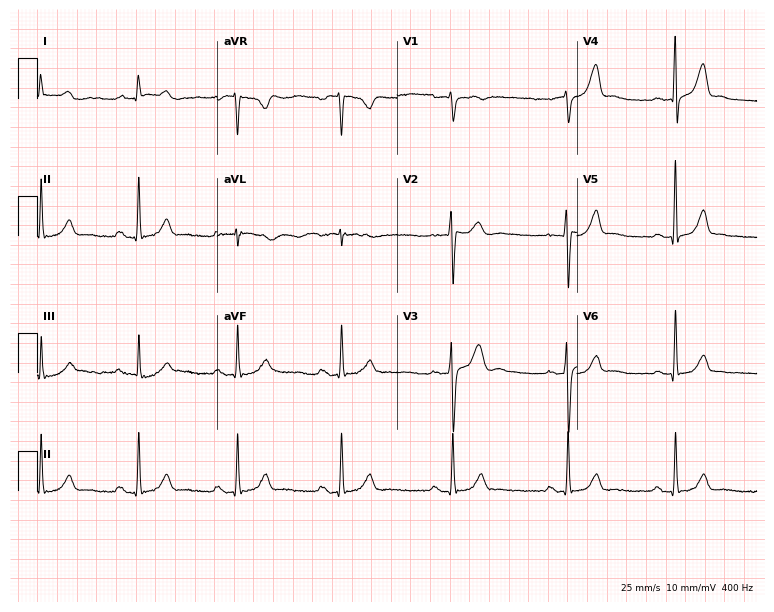
12-lead ECG from a 24-year-old man. No first-degree AV block, right bundle branch block, left bundle branch block, sinus bradycardia, atrial fibrillation or sinus tachycardia recorded for this tracing.